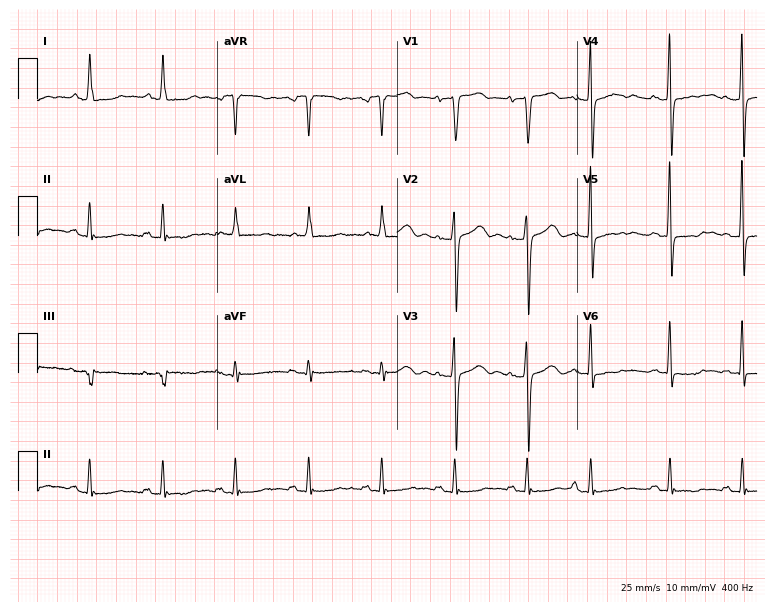
Standard 12-lead ECG recorded from a female, 53 years old. None of these six findings is recorded: first-degree AV block, right bundle branch block, left bundle branch block, sinus bradycardia, atrial fibrillation, sinus tachycardia.